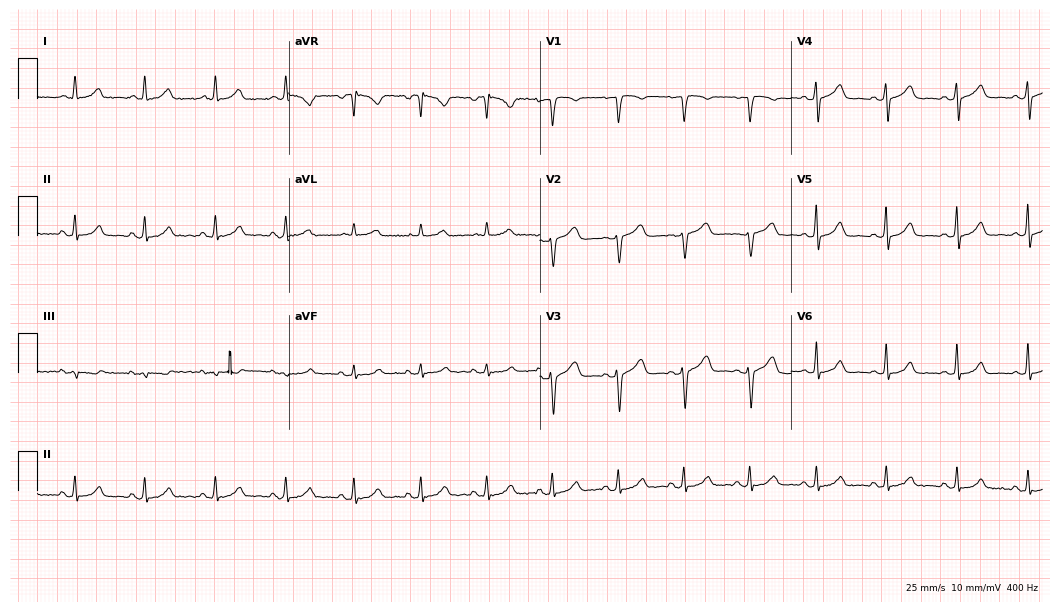
Resting 12-lead electrocardiogram (10.2-second recording at 400 Hz). Patient: a female, 47 years old. Read as a normal ECG.